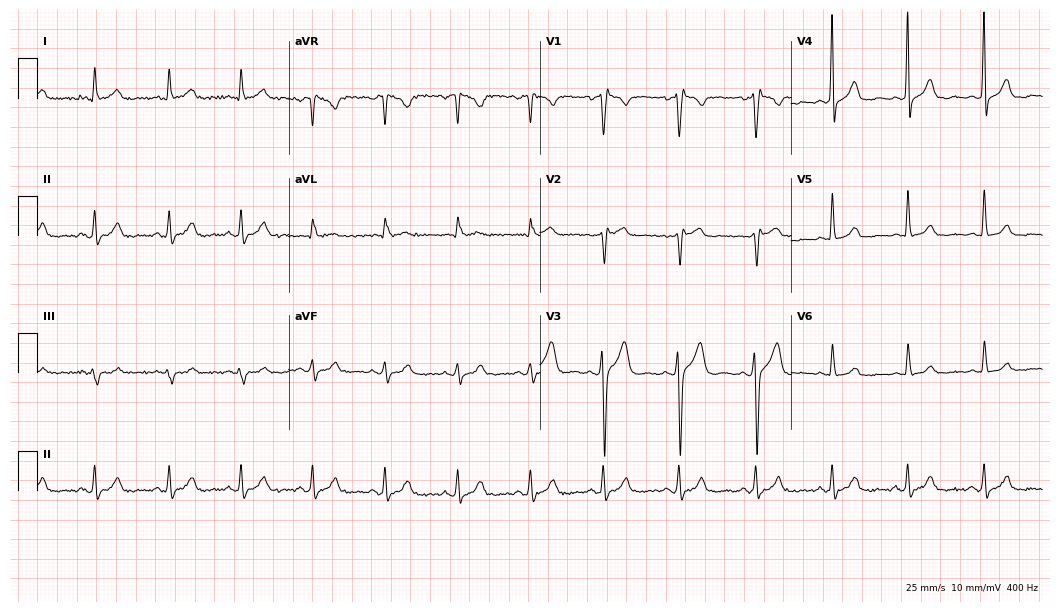
Electrocardiogram, a male patient, 51 years old. Of the six screened findings (first-degree AV block, right bundle branch block, left bundle branch block, sinus bradycardia, atrial fibrillation, sinus tachycardia), none is recorded. Findings outside these six are not listed.